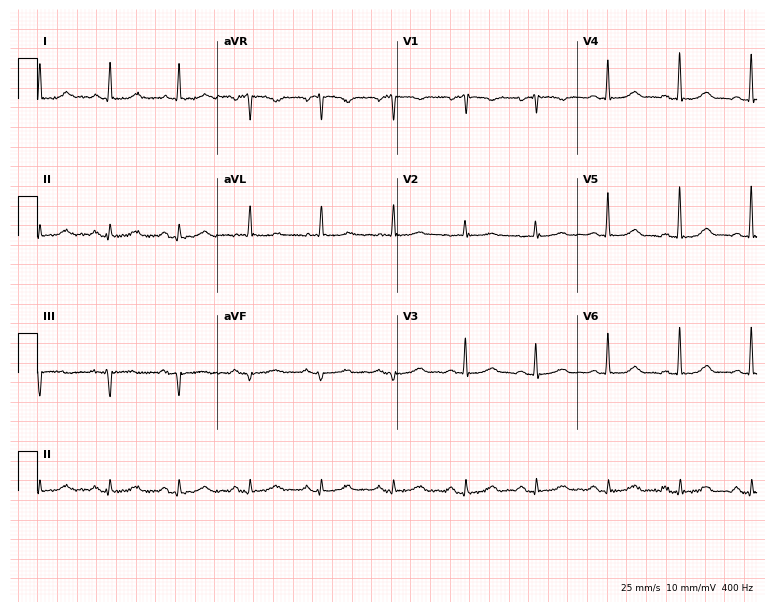
Electrocardiogram (7.3-second recording at 400 Hz), a female patient, 76 years old. Overall reading on record: normal ECG.